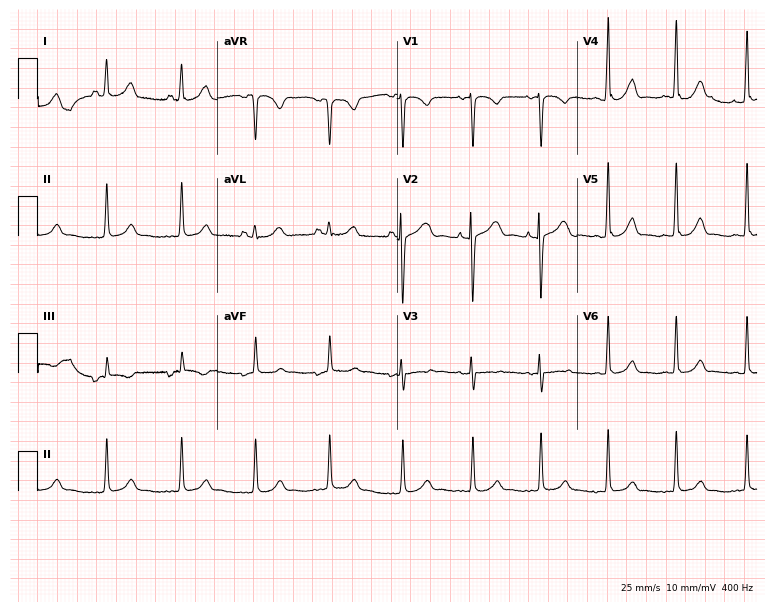
Resting 12-lead electrocardiogram (7.3-second recording at 400 Hz). Patient: a woman, 32 years old. Read as a normal ECG.